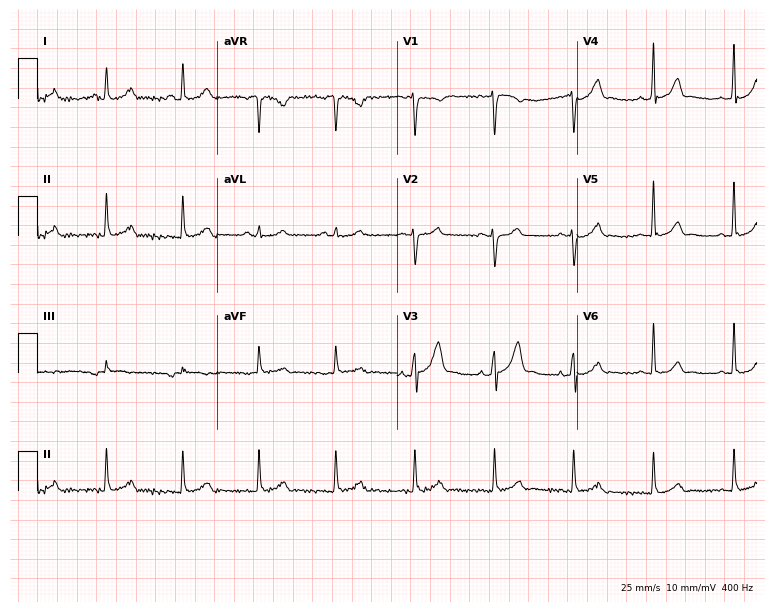
Resting 12-lead electrocardiogram (7.3-second recording at 400 Hz). Patient: a 53-year-old man. Read as a normal ECG.